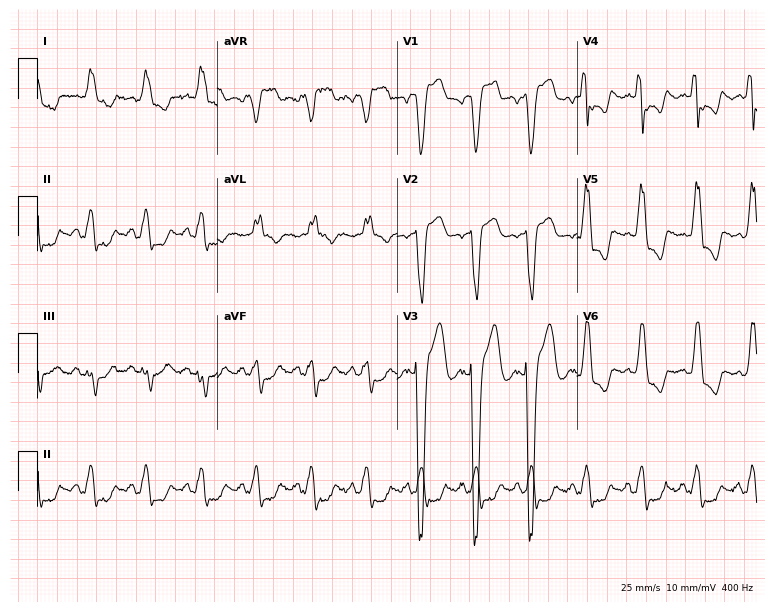
12-lead ECG (7.3-second recording at 400 Hz) from an 86-year-old male. Findings include left bundle branch block, sinus tachycardia (a sinus rate of 100 beats per minute or more).